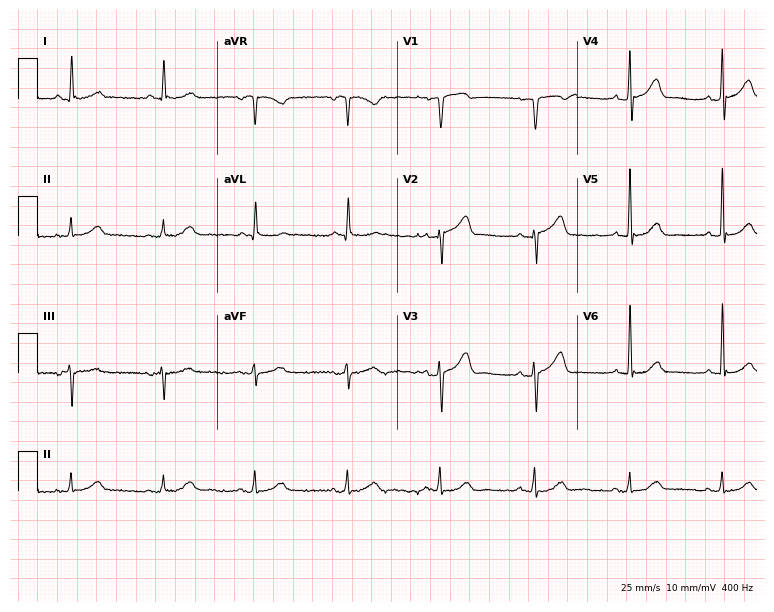
Electrocardiogram (7.3-second recording at 400 Hz), a male, 75 years old. Overall reading on record: normal ECG.